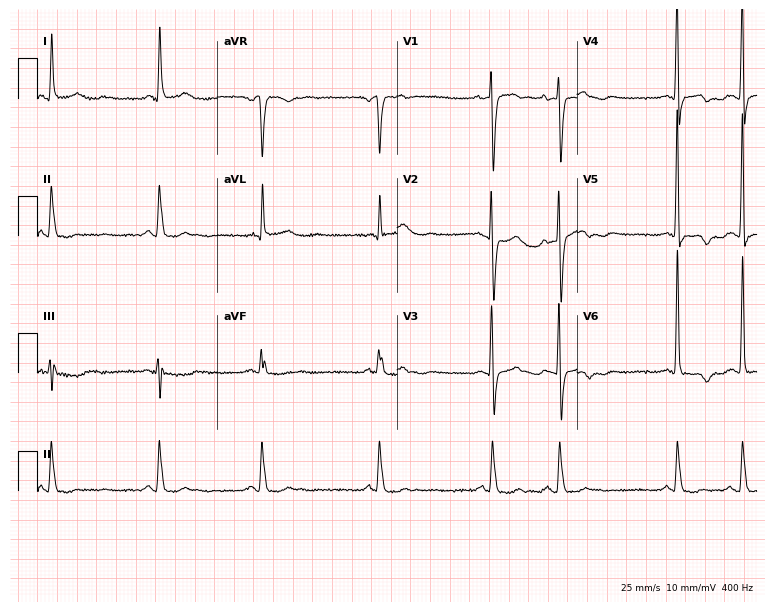
Standard 12-lead ECG recorded from a female patient, 69 years old. None of these six findings is recorded: first-degree AV block, right bundle branch block, left bundle branch block, sinus bradycardia, atrial fibrillation, sinus tachycardia. Other findings, if any, are not listed.